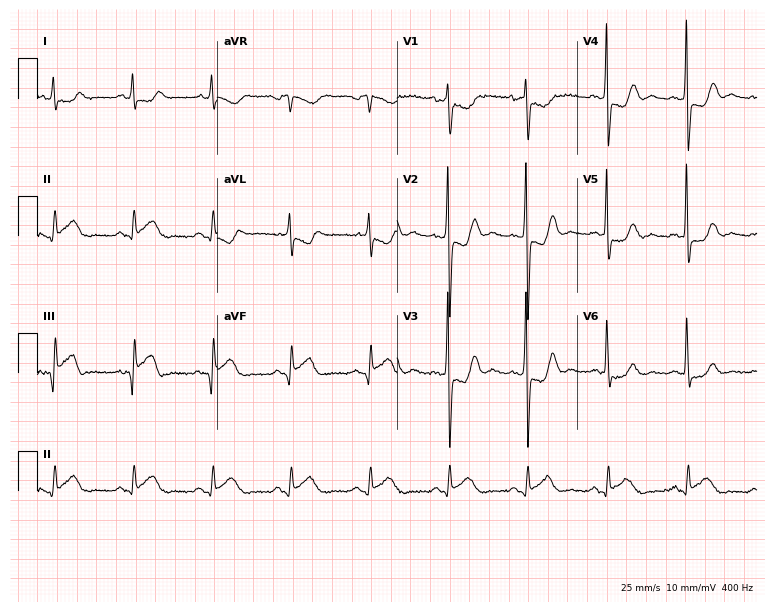
ECG — a man, 61 years old. Screened for six findings — first-degree AV block, right bundle branch block, left bundle branch block, sinus bradycardia, atrial fibrillation, sinus tachycardia — none is recorded.